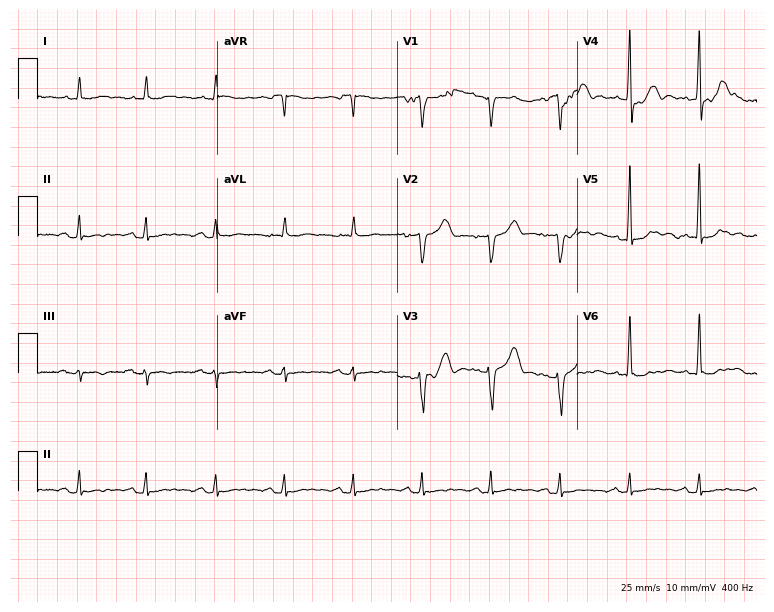
Standard 12-lead ECG recorded from a male, 74 years old. None of these six findings is recorded: first-degree AV block, right bundle branch block, left bundle branch block, sinus bradycardia, atrial fibrillation, sinus tachycardia. Findings outside these six are not listed.